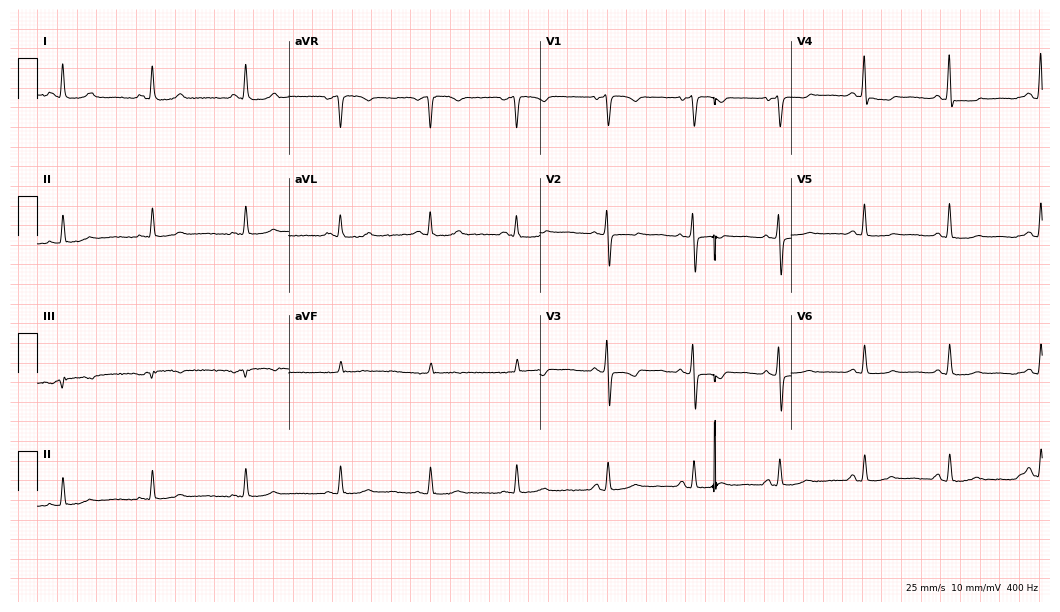
ECG — a 60-year-old female. Screened for six findings — first-degree AV block, right bundle branch block (RBBB), left bundle branch block (LBBB), sinus bradycardia, atrial fibrillation (AF), sinus tachycardia — none is recorded. Findings outside these six are not listed.